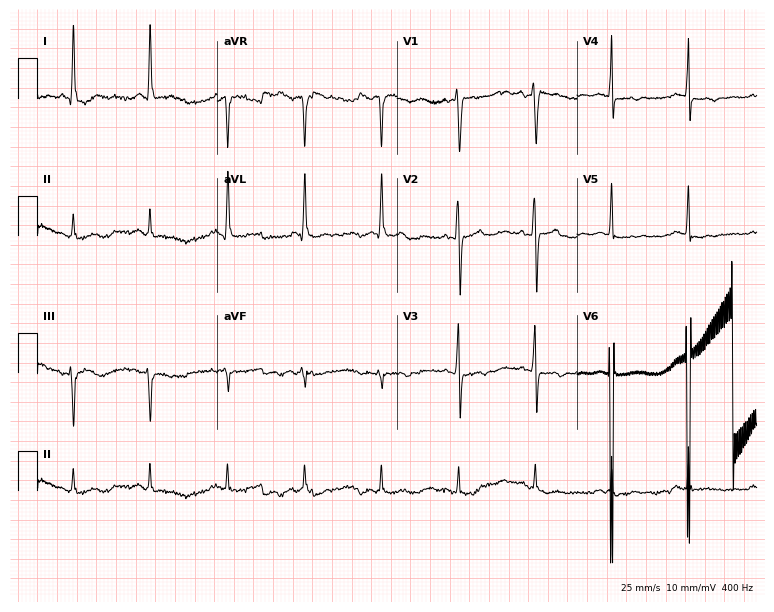
Standard 12-lead ECG recorded from a male patient, 64 years old (7.3-second recording at 400 Hz). None of these six findings is recorded: first-degree AV block, right bundle branch block (RBBB), left bundle branch block (LBBB), sinus bradycardia, atrial fibrillation (AF), sinus tachycardia. Only these six findings were labelled.